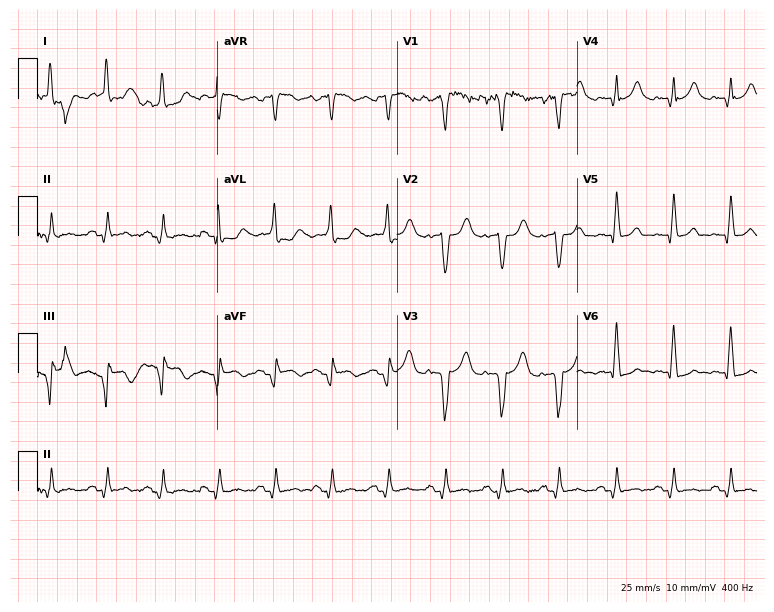
ECG (7.3-second recording at 400 Hz) — a male patient, 54 years old. Screened for six findings — first-degree AV block, right bundle branch block (RBBB), left bundle branch block (LBBB), sinus bradycardia, atrial fibrillation (AF), sinus tachycardia — none is recorded.